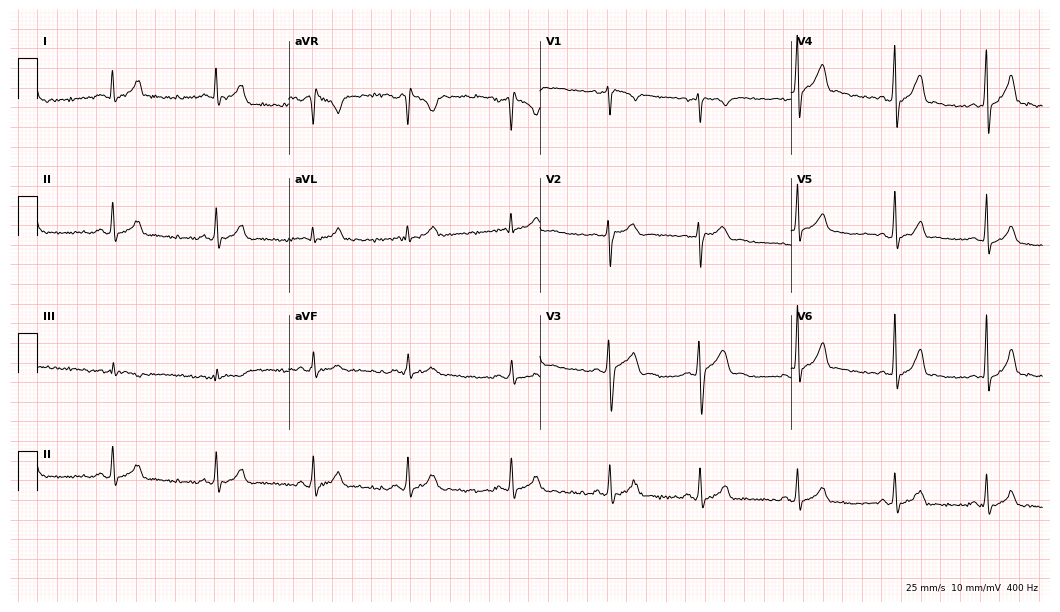
Standard 12-lead ECG recorded from a 19-year-old male (10.2-second recording at 400 Hz). Read as a normal ECG.